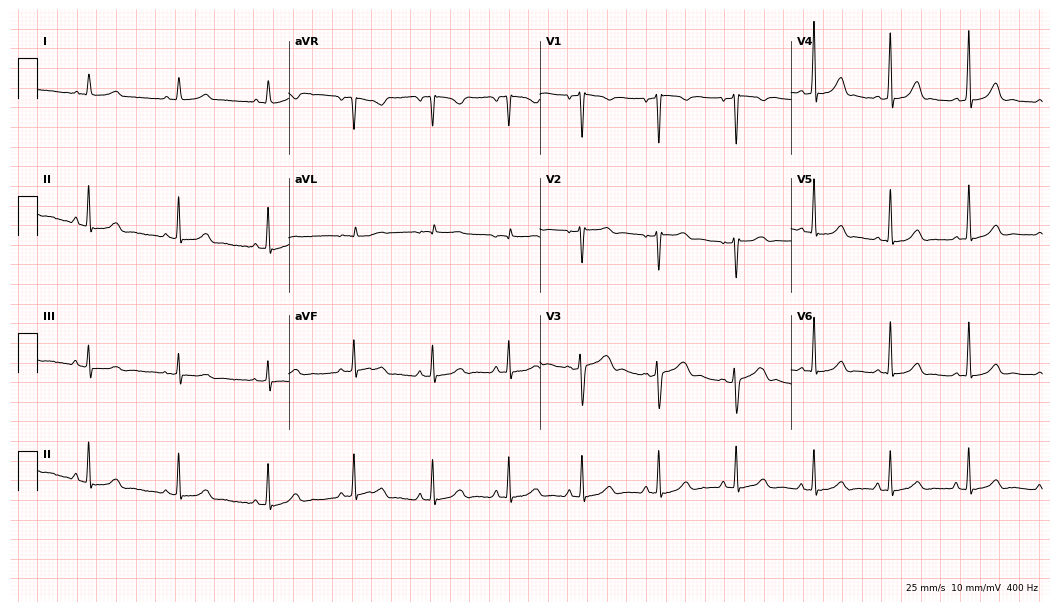
ECG — a 27-year-old female patient. Labelled as a normal ECG.